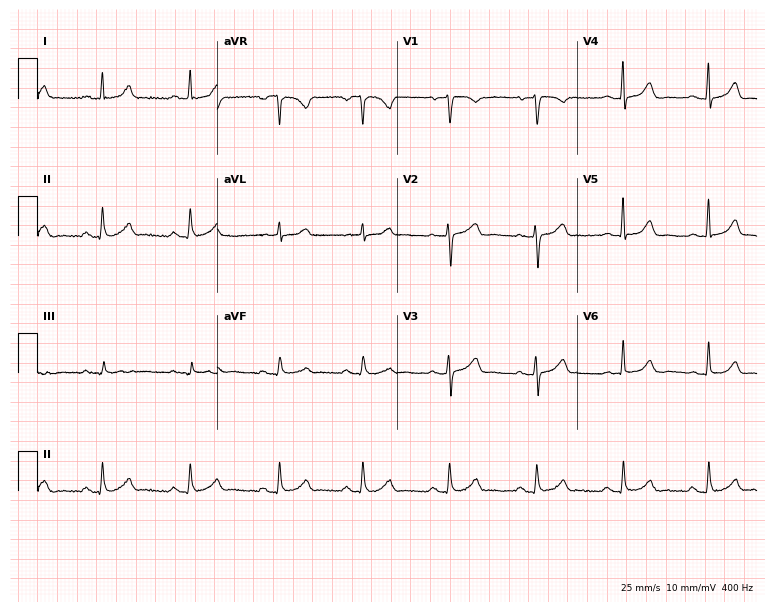
Electrocardiogram (7.3-second recording at 400 Hz), a female patient, 47 years old. Overall reading on record: normal ECG.